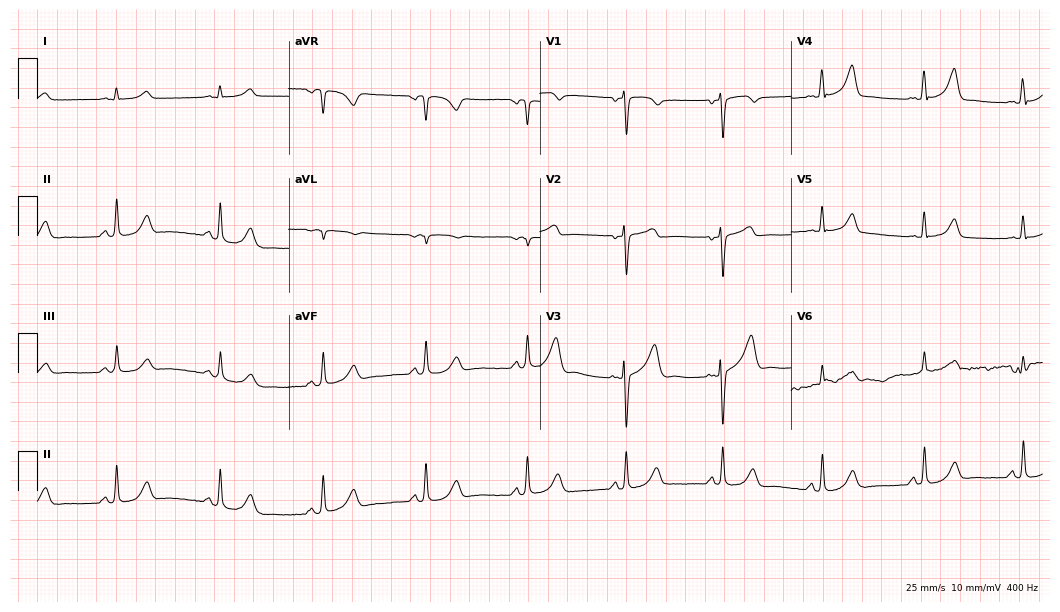
Electrocardiogram (10.2-second recording at 400 Hz), a male, 56 years old. Overall reading on record: normal ECG.